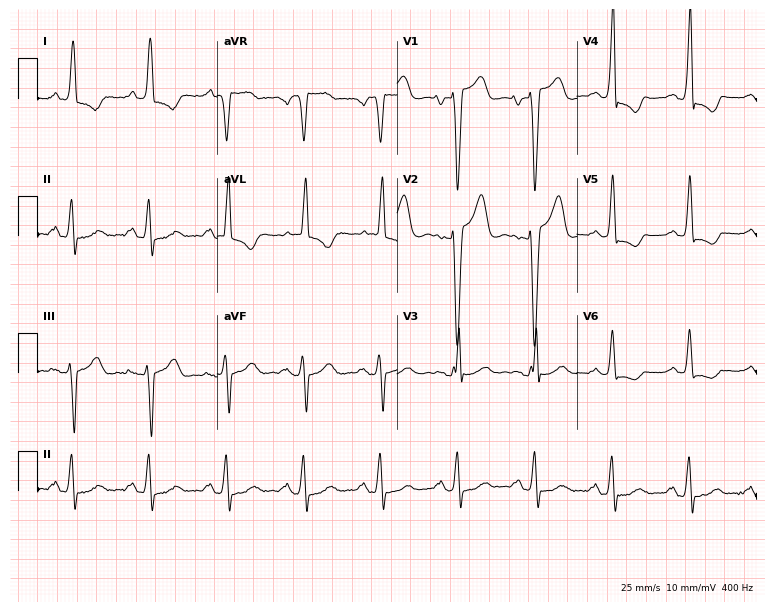
ECG — a woman, 75 years old. Findings include left bundle branch block (LBBB).